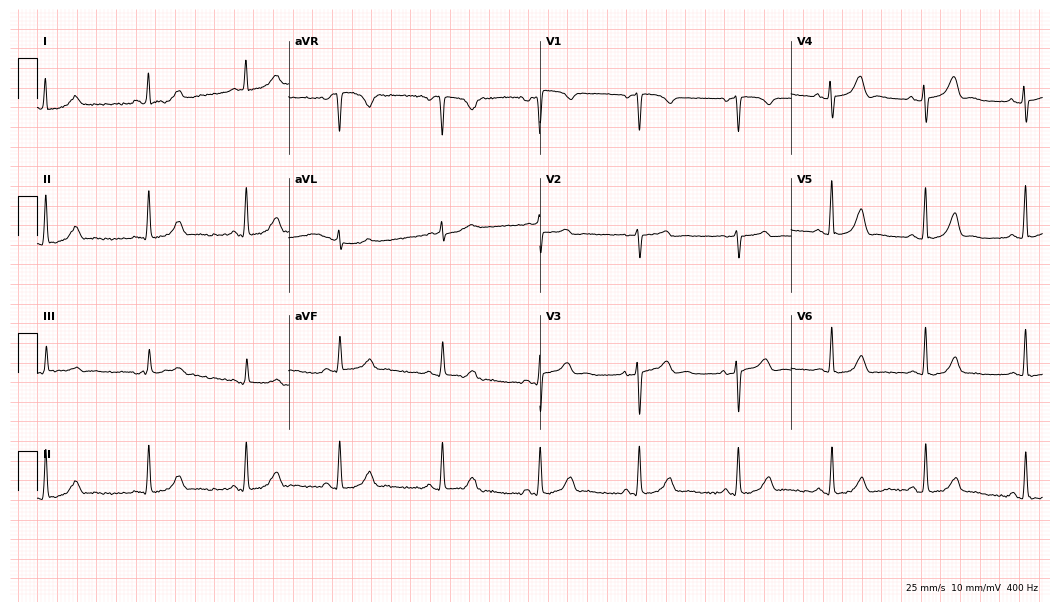
Standard 12-lead ECG recorded from a 46-year-old female (10.2-second recording at 400 Hz). Read as a normal ECG.